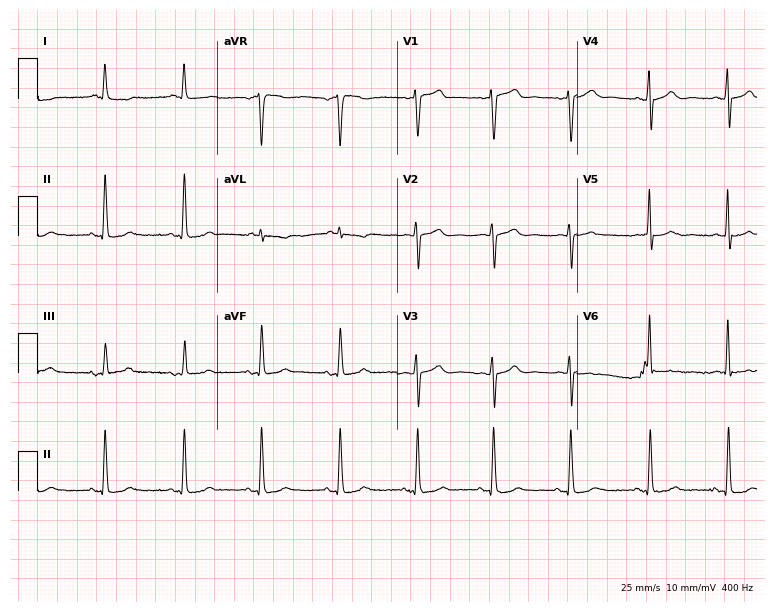
12-lead ECG (7.3-second recording at 400 Hz) from a male patient, 78 years old. Labelled as a normal ECG.